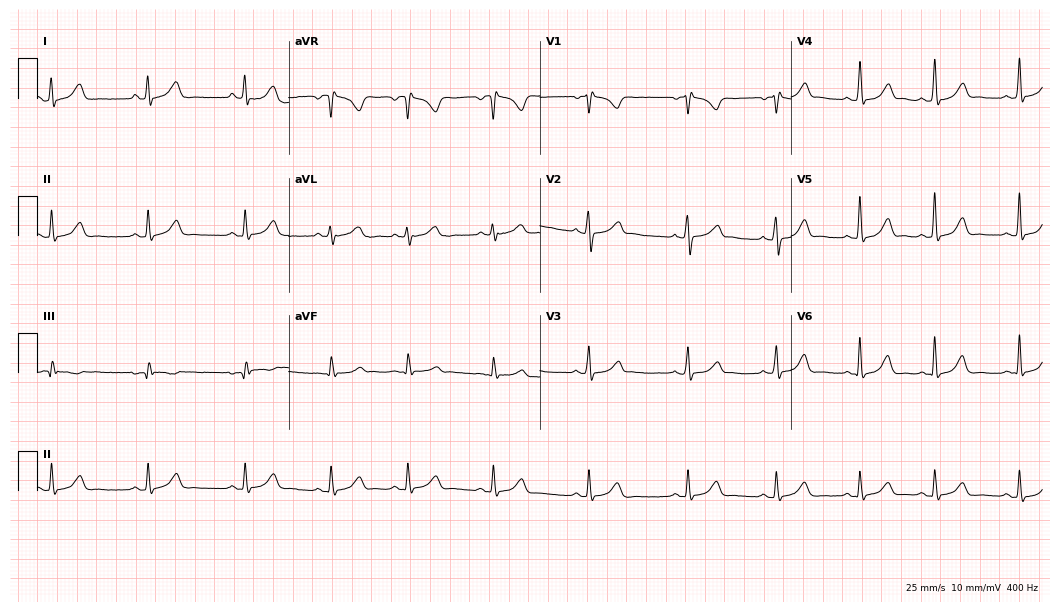
Resting 12-lead electrocardiogram (10.2-second recording at 400 Hz). Patient: a 20-year-old female. Read as a normal ECG.